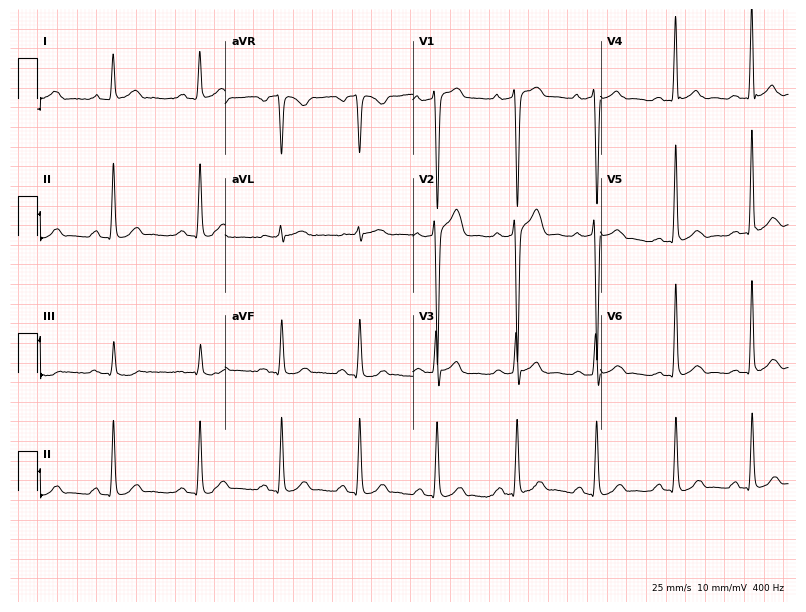
Electrocardiogram (7.7-second recording at 400 Hz), a 30-year-old man. Of the six screened findings (first-degree AV block, right bundle branch block (RBBB), left bundle branch block (LBBB), sinus bradycardia, atrial fibrillation (AF), sinus tachycardia), none is recorded.